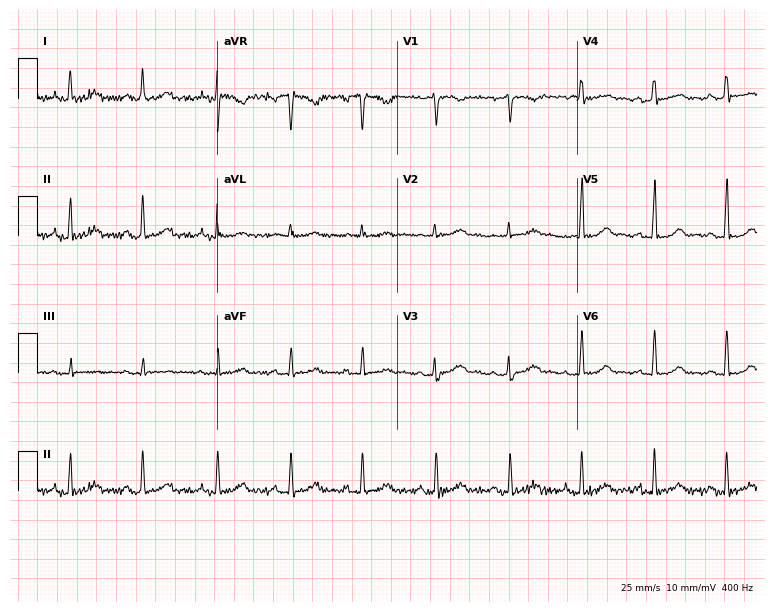
12-lead ECG from a woman, 41 years old. Recorded interpretation: within normal limits.